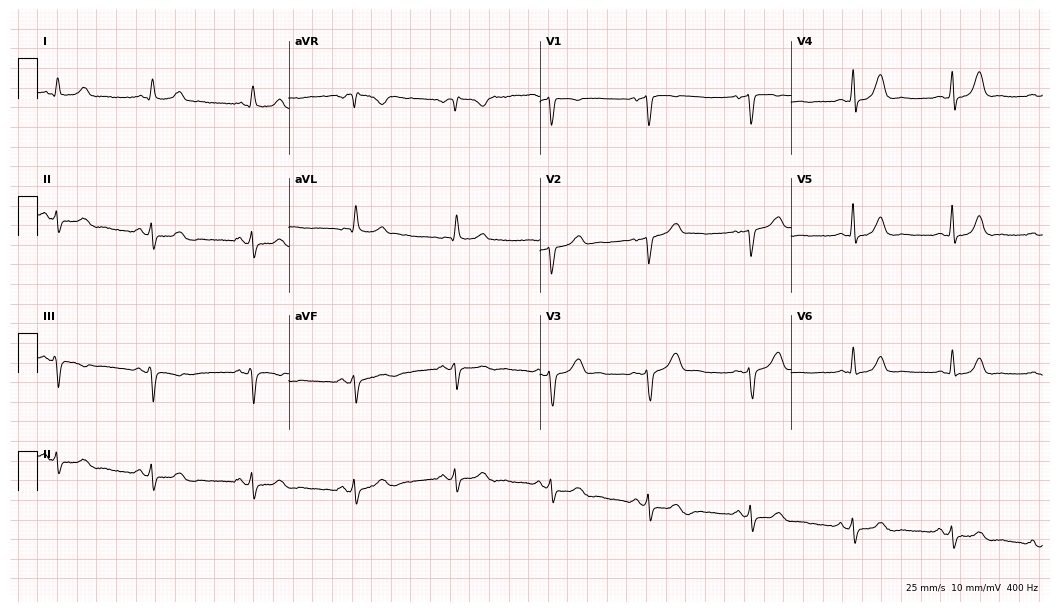
Electrocardiogram, a 53-year-old female. Of the six screened findings (first-degree AV block, right bundle branch block, left bundle branch block, sinus bradycardia, atrial fibrillation, sinus tachycardia), none is recorded. Findings outside these six are not listed.